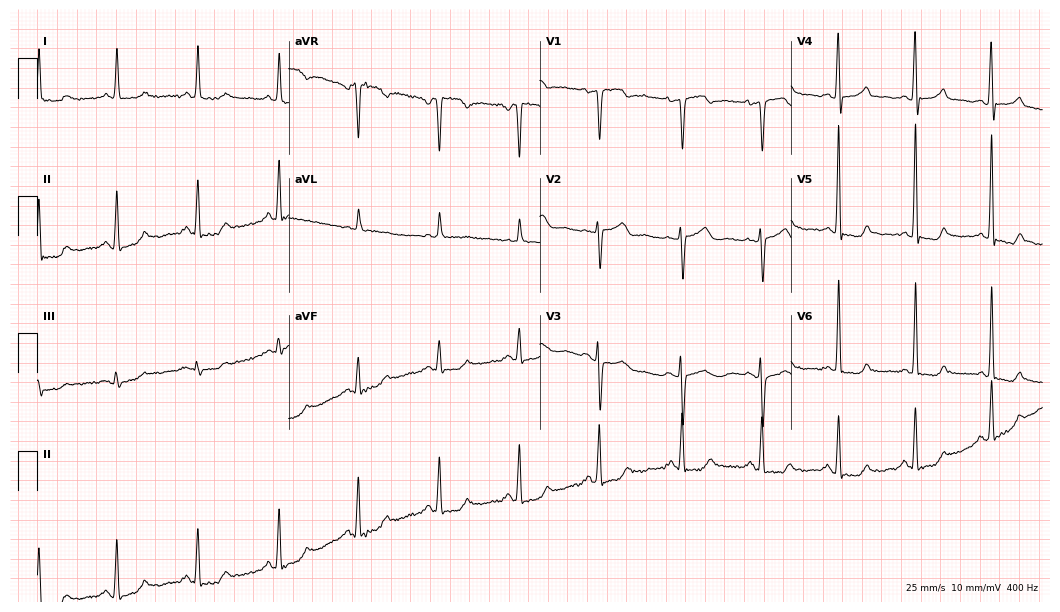
Standard 12-lead ECG recorded from a female, 62 years old (10.2-second recording at 400 Hz). None of these six findings is recorded: first-degree AV block, right bundle branch block (RBBB), left bundle branch block (LBBB), sinus bradycardia, atrial fibrillation (AF), sinus tachycardia. Findings outside these six are not listed.